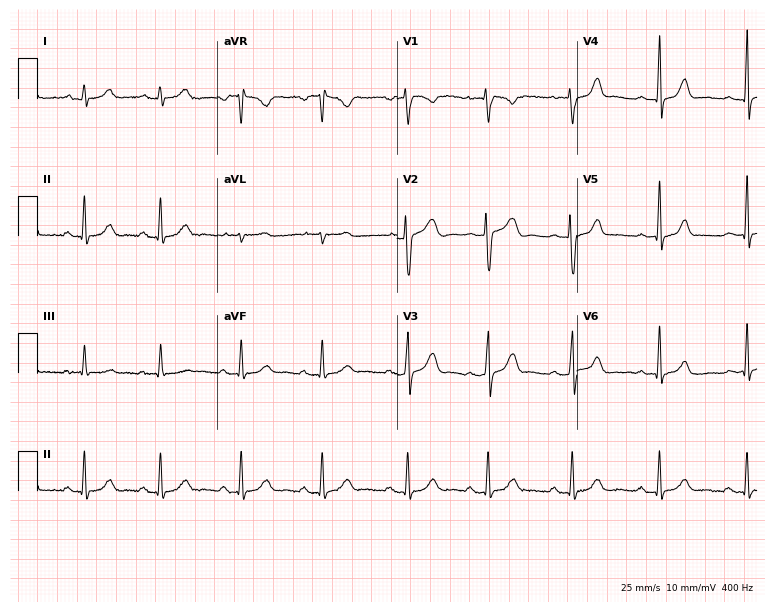
Electrocardiogram, a 30-year-old female. Overall reading on record: normal ECG.